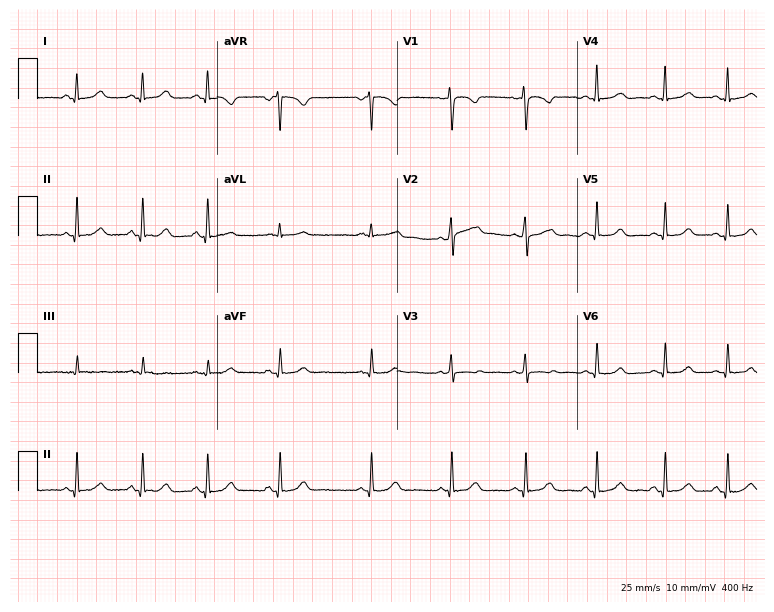
12-lead ECG from a 23-year-old female patient (7.3-second recording at 400 Hz). Recorded interpretation: within normal limits.